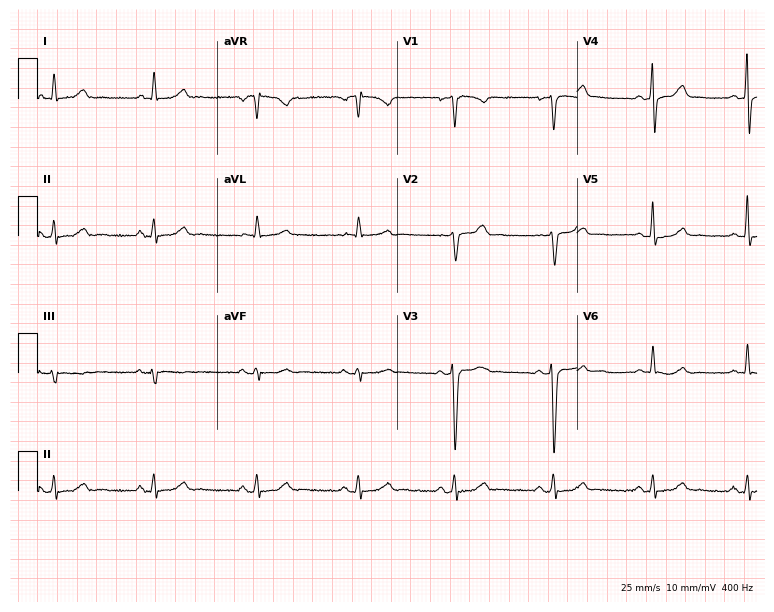
12-lead ECG from a woman, 46 years old. Screened for six findings — first-degree AV block, right bundle branch block, left bundle branch block, sinus bradycardia, atrial fibrillation, sinus tachycardia — none is recorded.